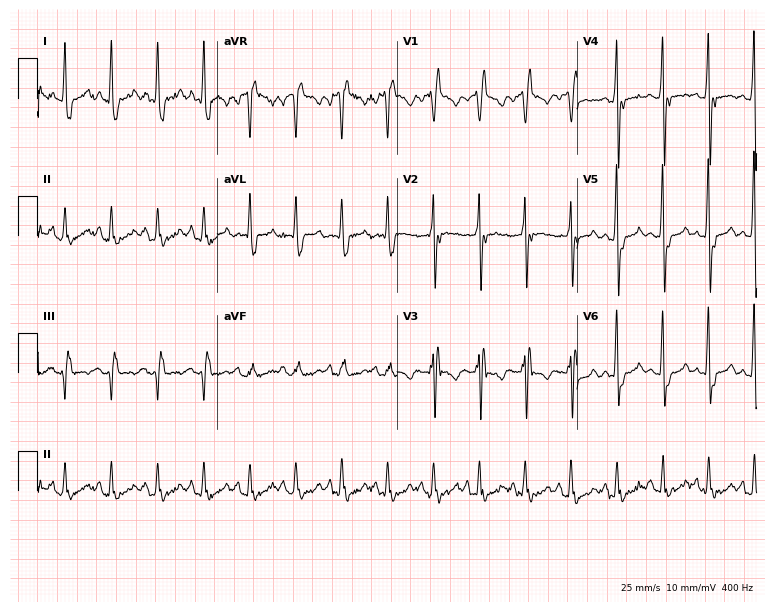
Standard 12-lead ECG recorded from a woman, 66 years old. The tracing shows right bundle branch block (RBBB), sinus tachycardia (a sinus rate of 100 beats per minute or more).